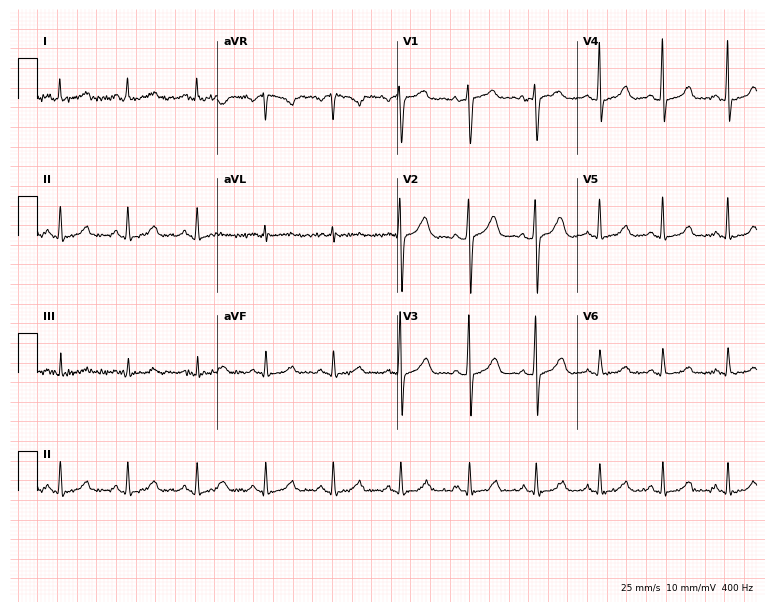
12-lead ECG from a female patient, 41 years old. Labelled as a normal ECG.